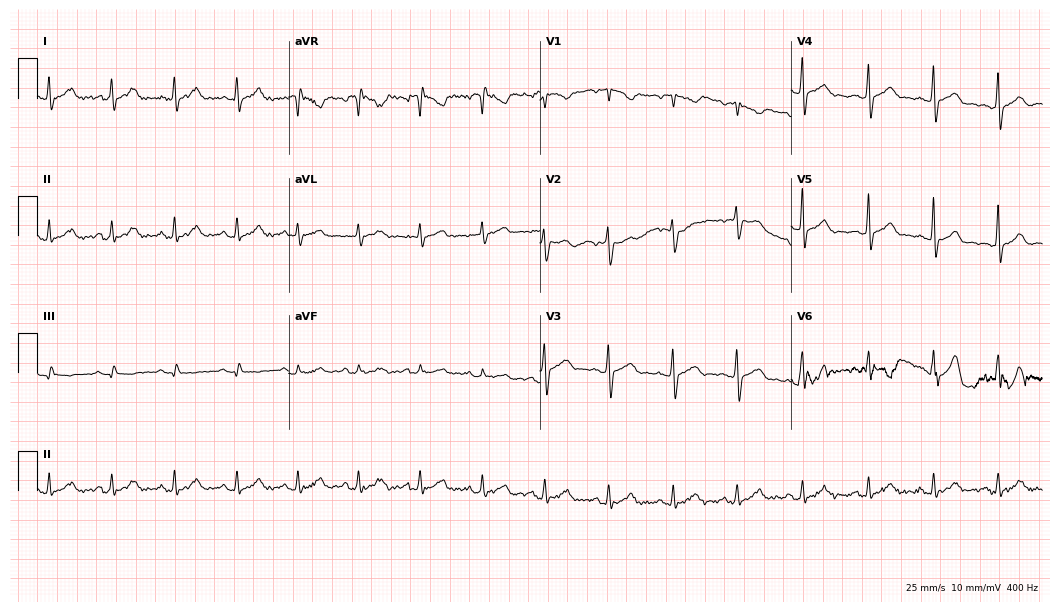
12-lead ECG from a 31-year-old male. Recorded interpretation: within normal limits.